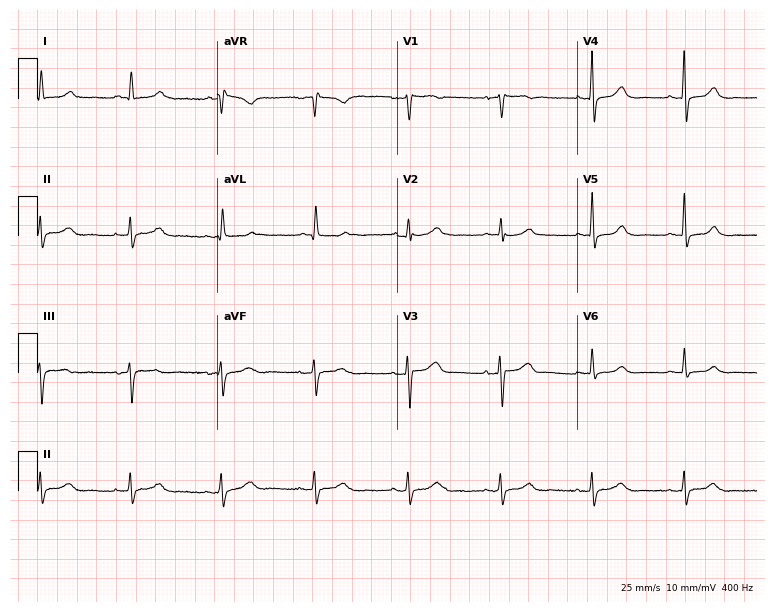
Standard 12-lead ECG recorded from a female patient, 70 years old. Read as a normal ECG.